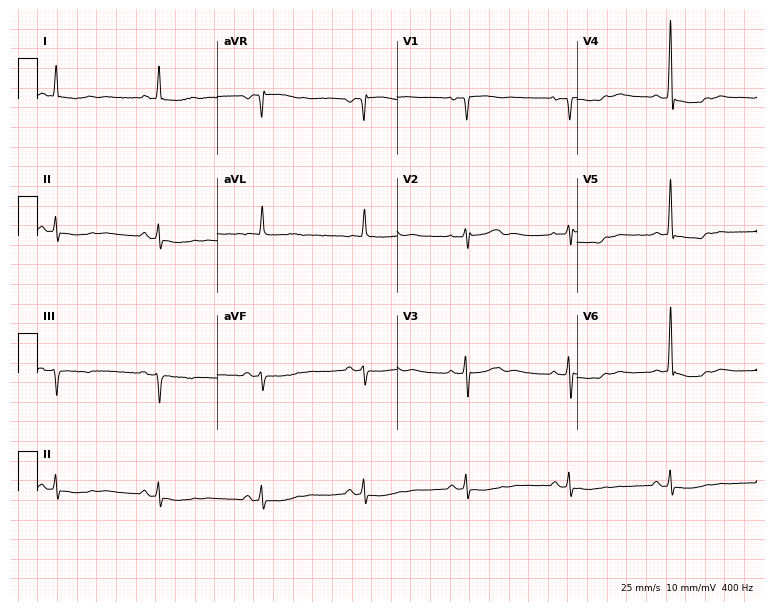
Standard 12-lead ECG recorded from a 68-year-old man (7.3-second recording at 400 Hz). None of these six findings is recorded: first-degree AV block, right bundle branch block, left bundle branch block, sinus bradycardia, atrial fibrillation, sinus tachycardia. Other findings, if any, are not listed.